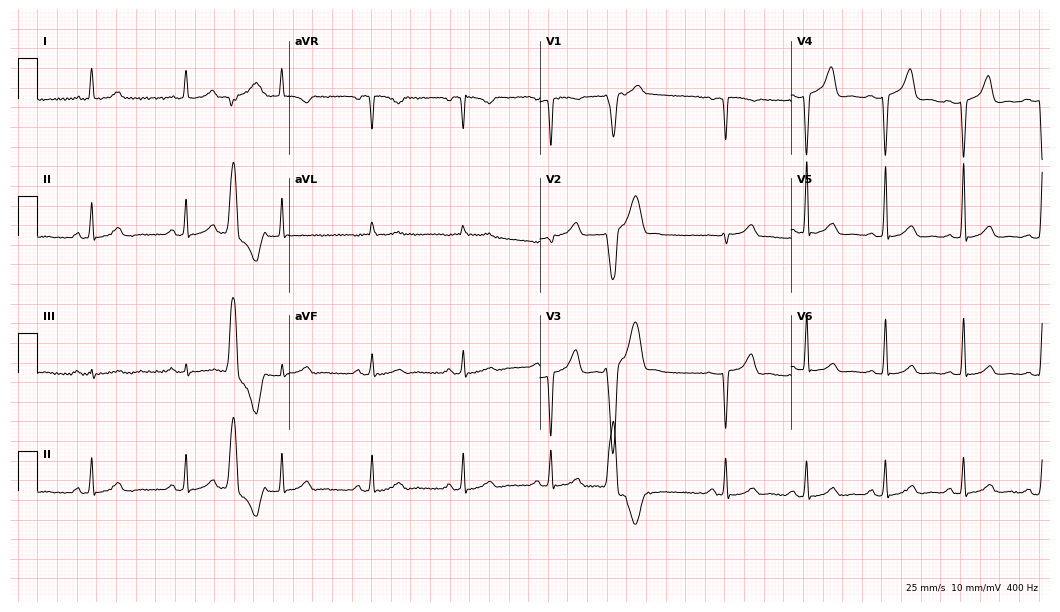
Standard 12-lead ECG recorded from a 46-year-old woman. None of these six findings is recorded: first-degree AV block, right bundle branch block, left bundle branch block, sinus bradycardia, atrial fibrillation, sinus tachycardia. Other findings, if any, are not listed.